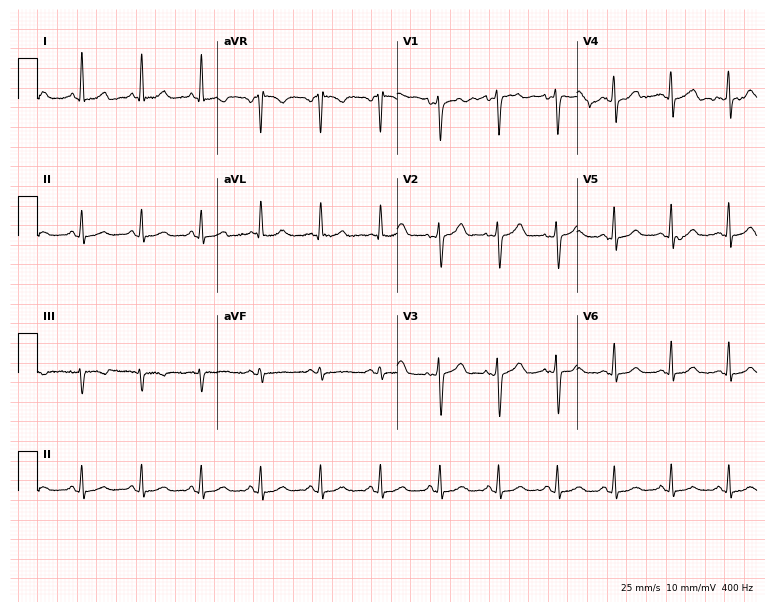
12-lead ECG (7.3-second recording at 400 Hz) from a female patient, 62 years old. Labelled as a normal ECG.